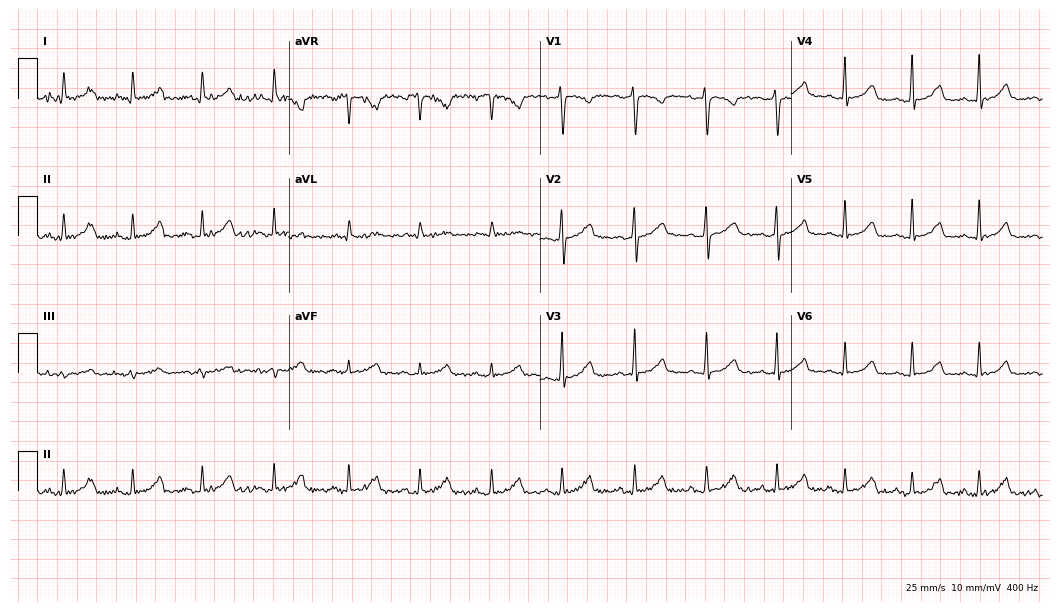
Resting 12-lead electrocardiogram. Patient: a woman, 34 years old. Read as a normal ECG.